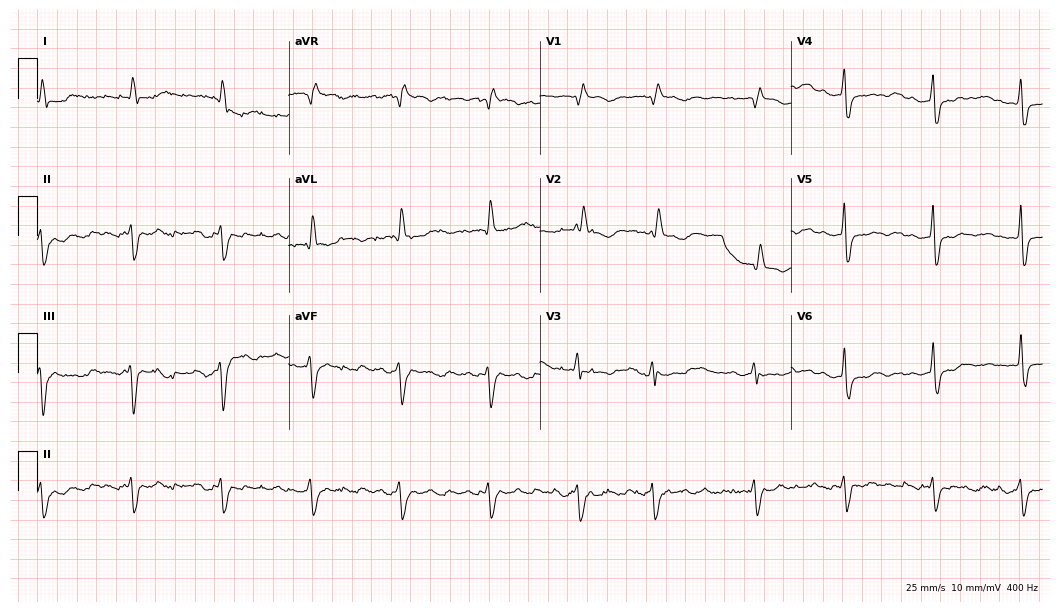
Resting 12-lead electrocardiogram. Patient: a female, 81 years old. None of these six findings is recorded: first-degree AV block, right bundle branch block, left bundle branch block, sinus bradycardia, atrial fibrillation, sinus tachycardia.